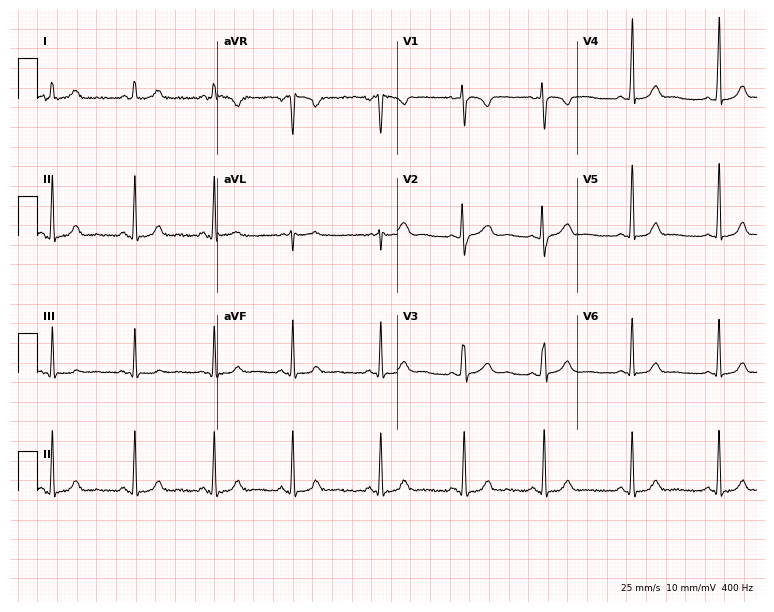
Resting 12-lead electrocardiogram. Patient: a 25-year-old woman. None of these six findings is recorded: first-degree AV block, right bundle branch block, left bundle branch block, sinus bradycardia, atrial fibrillation, sinus tachycardia.